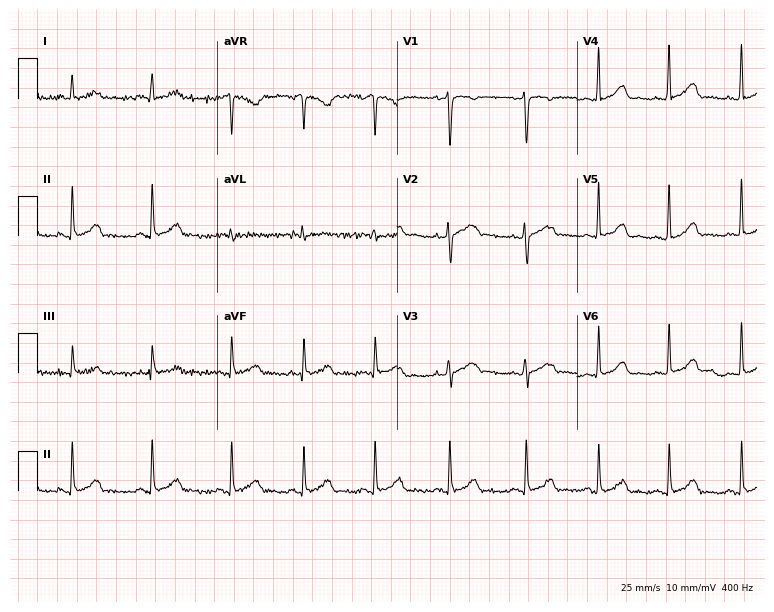
ECG — a woman, 35 years old. Labelled as a normal ECG.